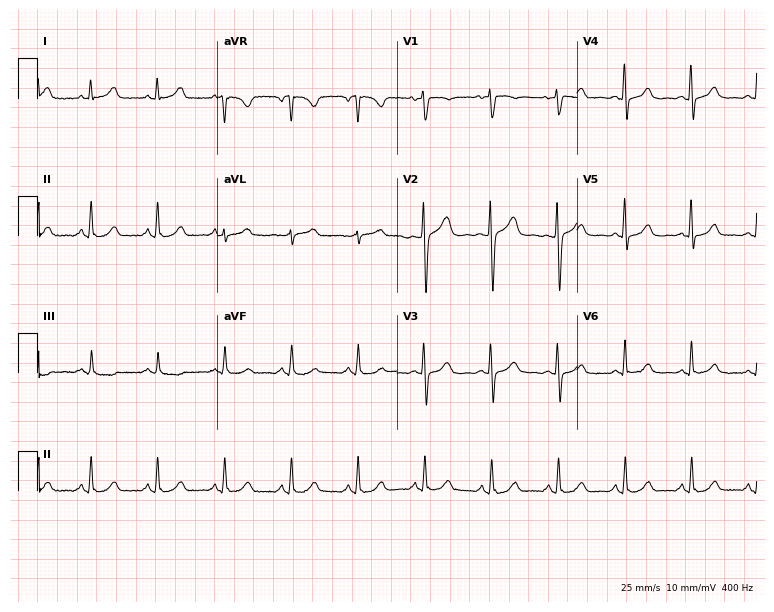
12-lead ECG from a 50-year-old female patient (7.3-second recording at 400 Hz). Recorded interpretation: within normal limits.